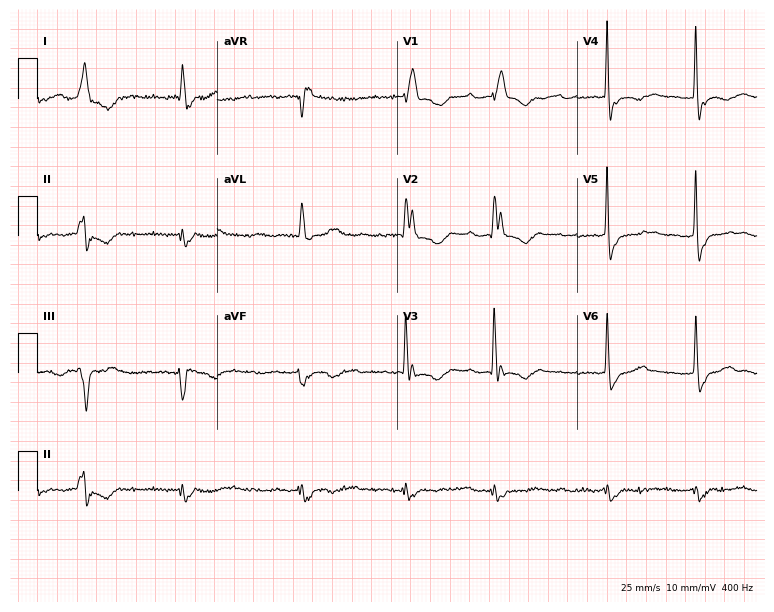
Electrocardiogram (7.3-second recording at 400 Hz), an 81-year-old female. Interpretation includes right bundle branch block, atrial fibrillation.